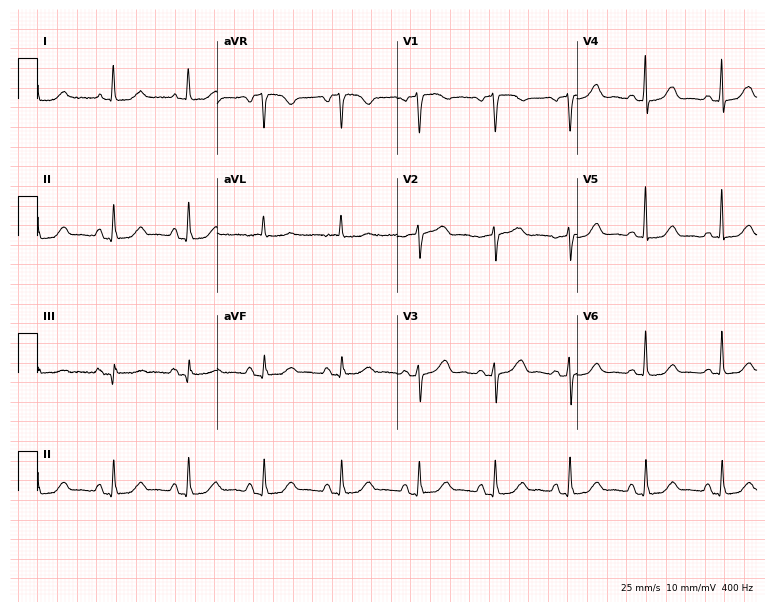
Standard 12-lead ECG recorded from a 68-year-old female patient. Read as a normal ECG.